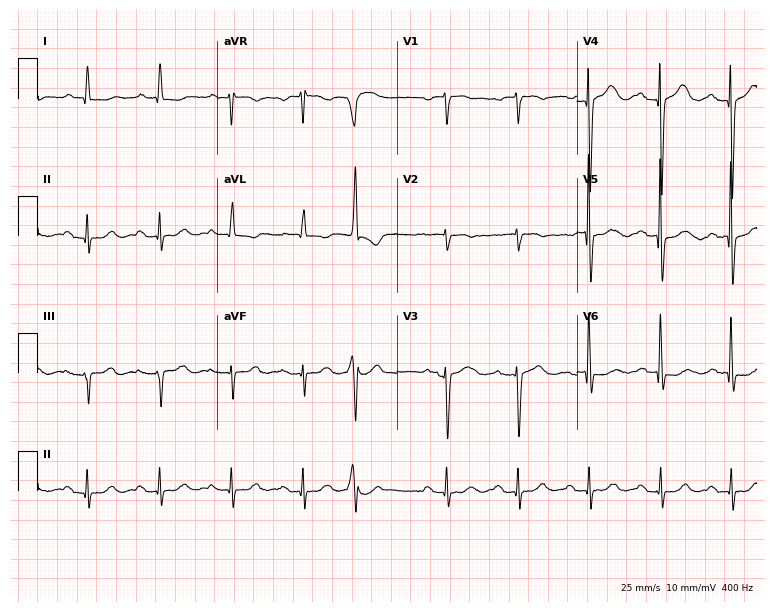
ECG (7.3-second recording at 400 Hz) — a woman, 83 years old. Screened for six findings — first-degree AV block, right bundle branch block (RBBB), left bundle branch block (LBBB), sinus bradycardia, atrial fibrillation (AF), sinus tachycardia — none is recorded. Findings outside these six are not listed.